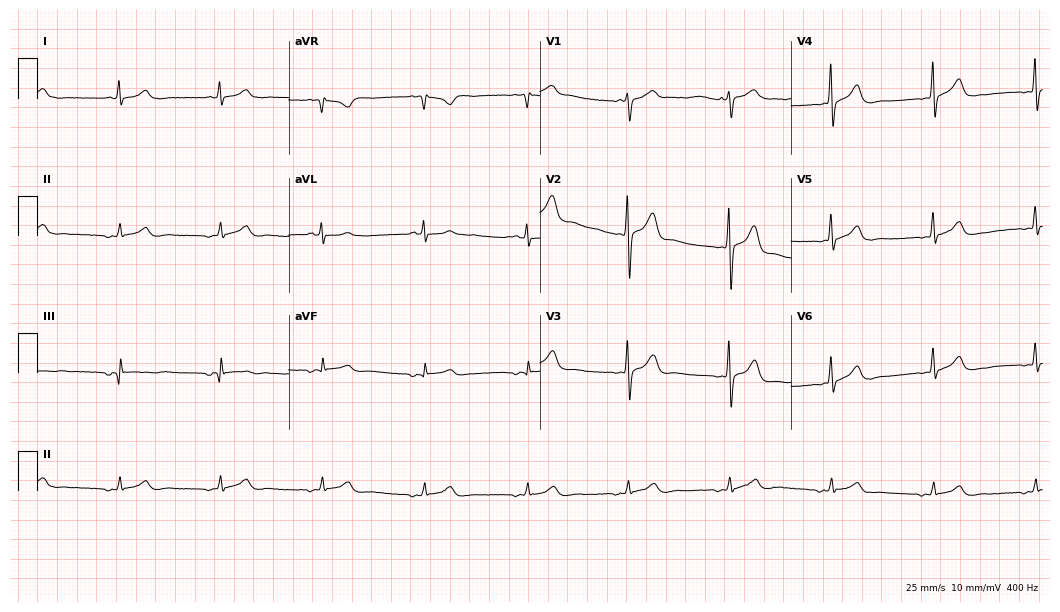
Electrocardiogram, an 80-year-old man. Of the six screened findings (first-degree AV block, right bundle branch block (RBBB), left bundle branch block (LBBB), sinus bradycardia, atrial fibrillation (AF), sinus tachycardia), none is recorded. Findings outside these six are not listed.